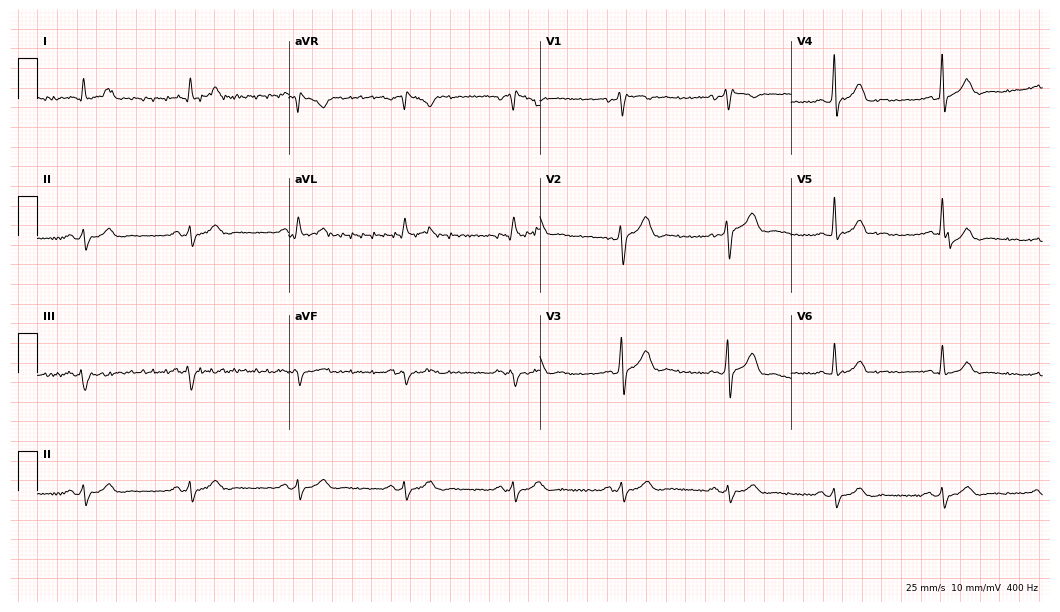
Standard 12-lead ECG recorded from a man, 49 years old (10.2-second recording at 400 Hz). None of these six findings is recorded: first-degree AV block, right bundle branch block, left bundle branch block, sinus bradycardia, atrial fibrillation, sinus tachycardia. Other findings, if any, are not listed.